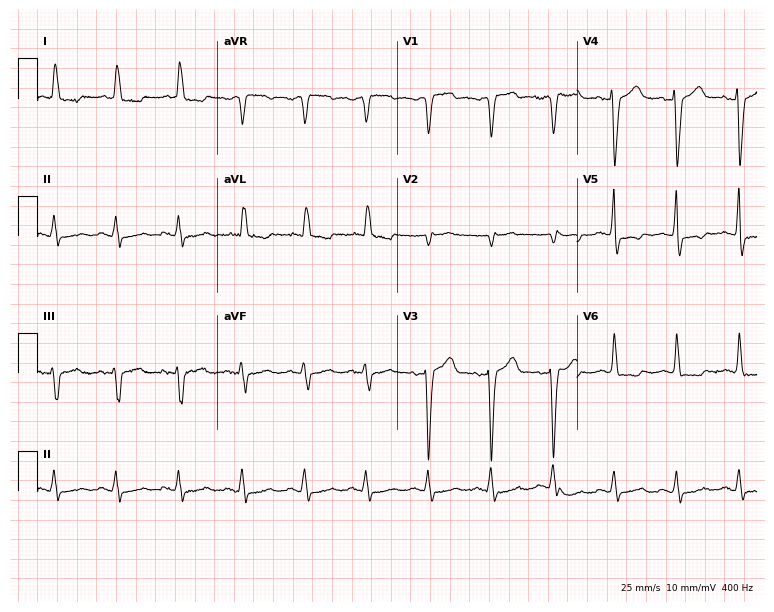
ECG (7.3-second recording at 400 Hz) — a 75-year-old male patient. Screened for six findings — first-degree AV block, right bundle branch block, left bundle branch block, sinus bradycardia, atrial fibrillation, sinus tachycardia — none is recorded. Only these six findings were labelled.